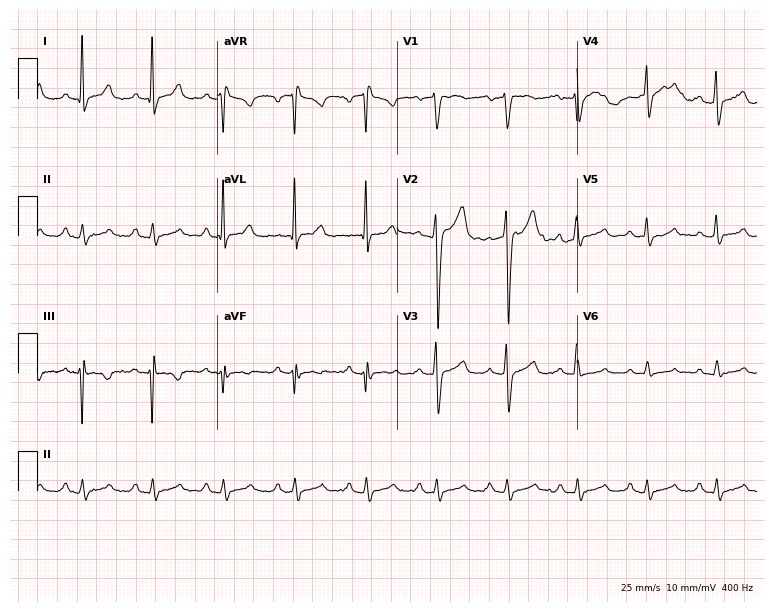
Standard 12-lead ECG recorded from a male, 44 years old (7.3-second recording at 400 Hz). Read as a normal ECG.